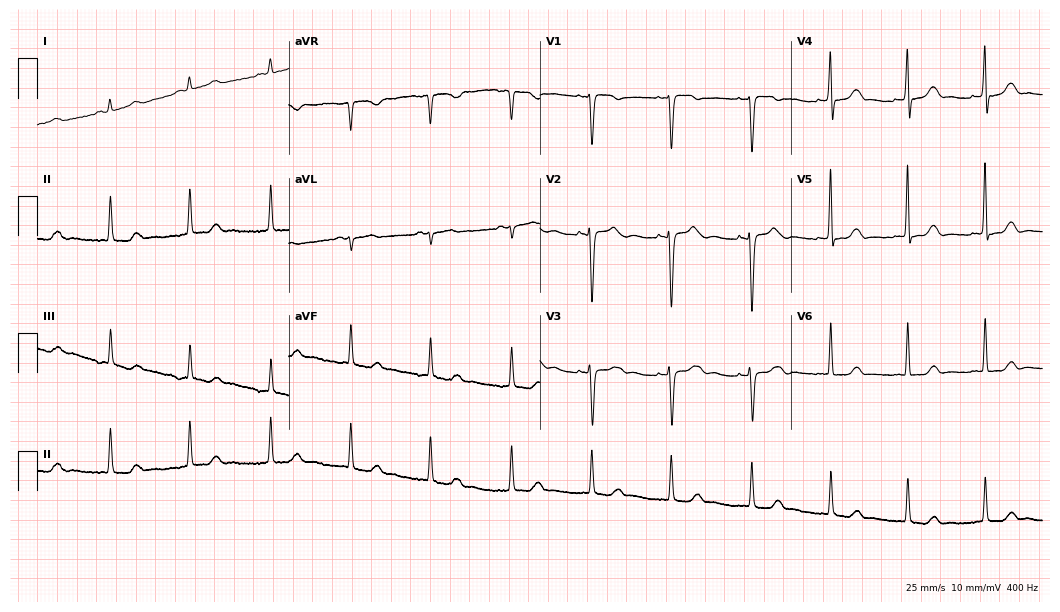
ECG (10.2-second recording at 400 Hz) — a female, 42 years old. Labelled as a normal ECG.